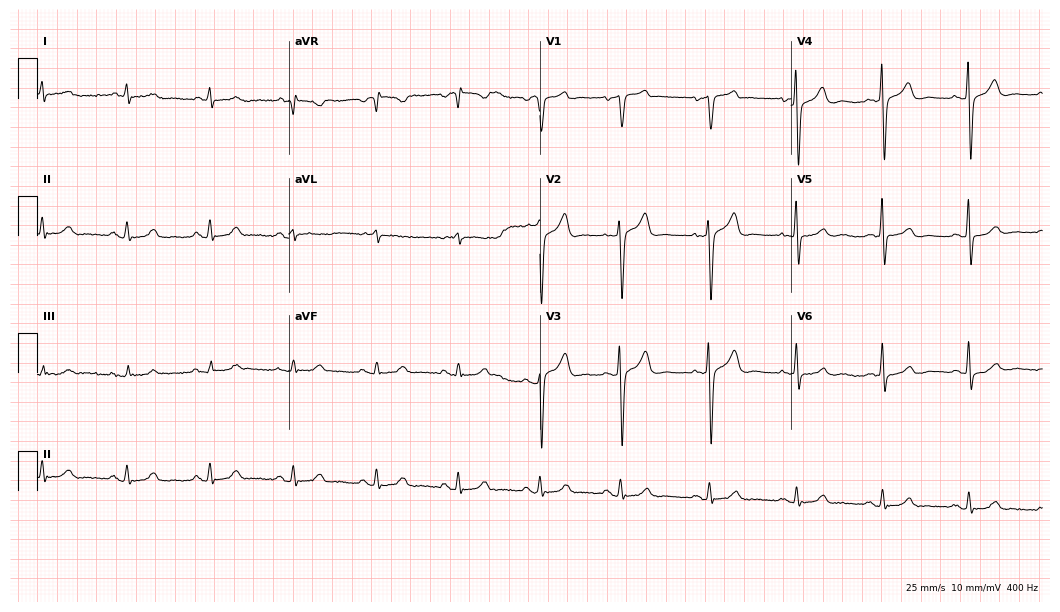
Electrocardiogram, an 83-year-old female patient. Of the six screened findings (first-degree AV block, right bundle branch block, left bundle branch block, sinus bradycardia, atrial fibrillation, sinus tachycardia), none is recorded.